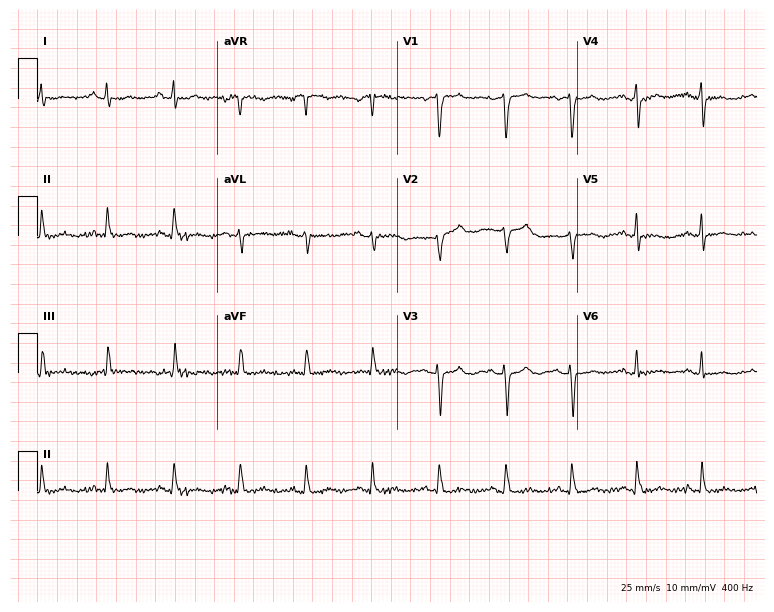
Standard 12-lead ECG recorded from a female, 77 years old. None of these six findings is recorded: first-degree AV block, right bundle branch block, left bundle branch block, sinus bradycardia, atrial fibrillation, sinus tachycardia. Other findings, if any, are not listed.